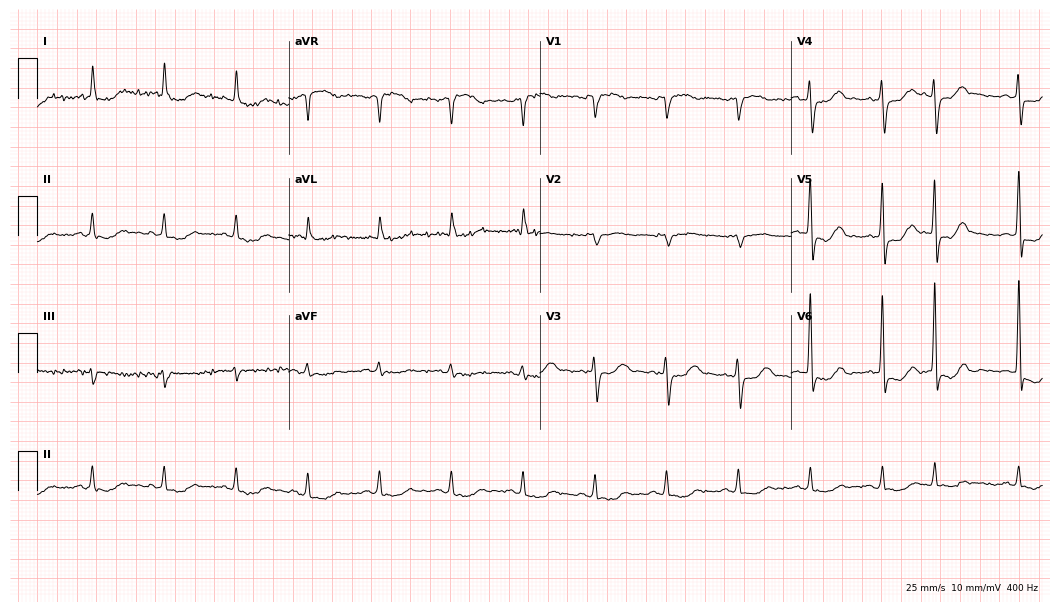
12-lead ECG from a 78-year-old male (10.2-second recording at 400 Hz). No first-degree AV block, right bundle branch block (RBBB), left bundle branch block (LBBB), sinus bradycardia, atrial fibrillation (AF) or sinus tachycardia recorded for this tracing.